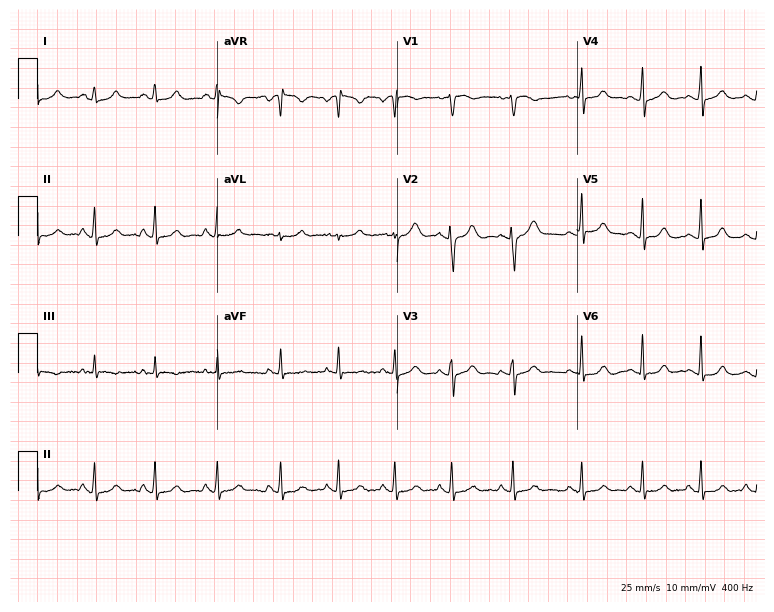
Electrocardiogram, a female, 18 years old. Overall reading on record: normal ECG.